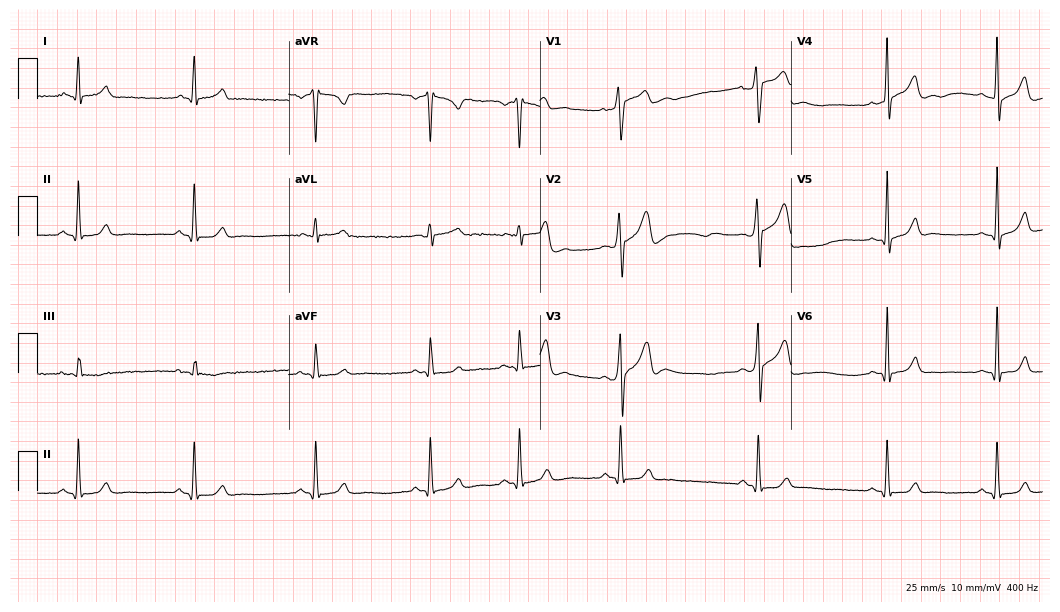
ECG — a male, 23 years old. Findings include sinus bradycardia (a sinus rate of 50 beats per minute or less).